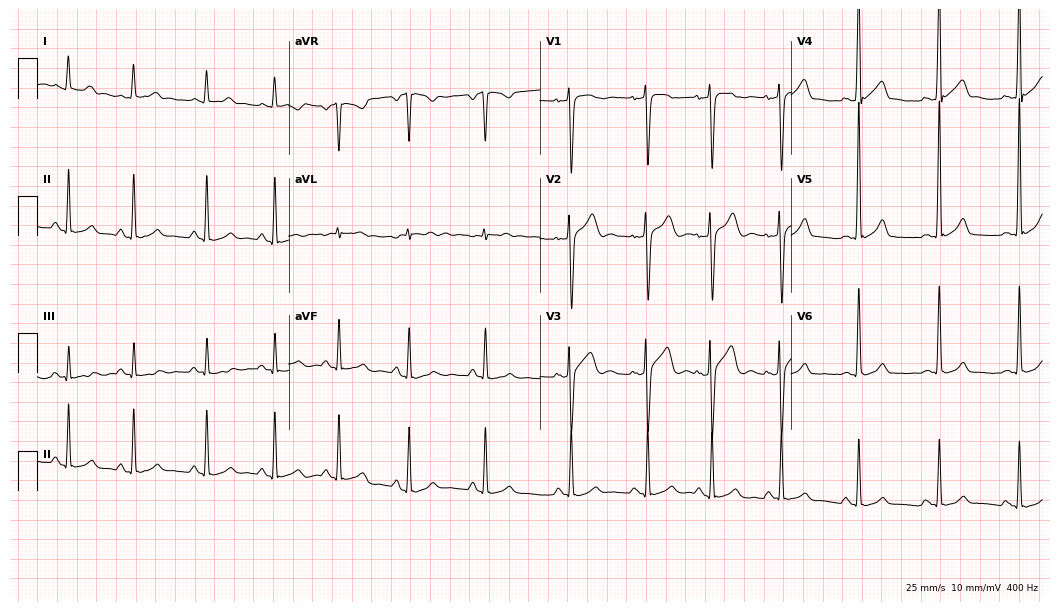
12-lead ECG (10.2-second recording at 400 Hz) from a man, 21 years old. Screened for six findings — first-degree AV block, right bundle branch block, left bundle branch block, sinus bradycardia, atrial fibrillation, sinus tachycardia — none is recorded.